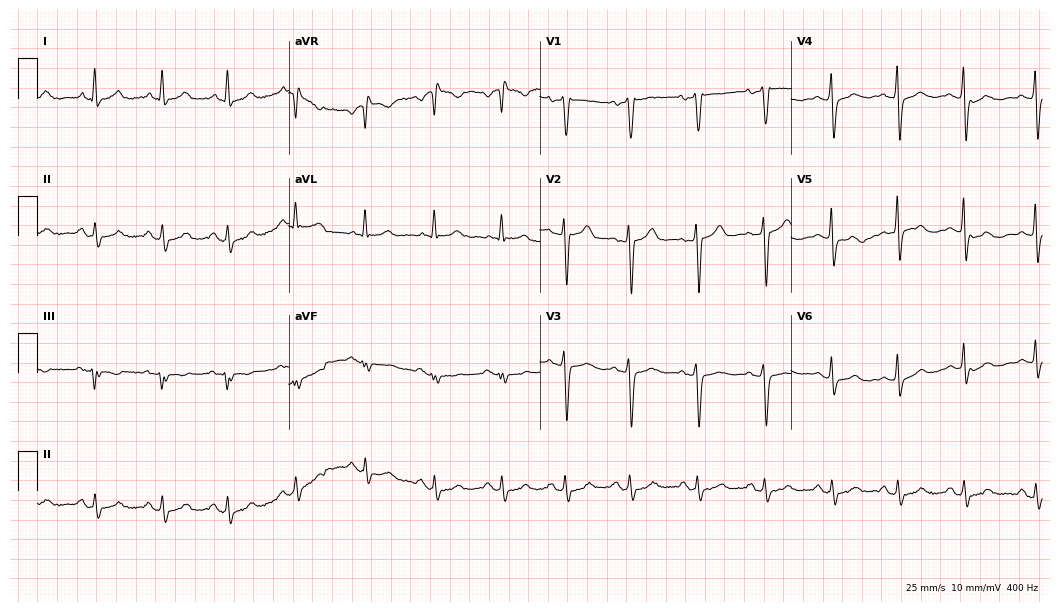
Electrocardiogram, a 59-year-old female. Of the six screened findings (first-degree AV block, right bundle branch block (RBBB), left bundle branch block (LBBB), sinus bradycardia, atrial fibrillation (AF), sinus tachycardia), none is recorded. Findings outside these six are not listed.